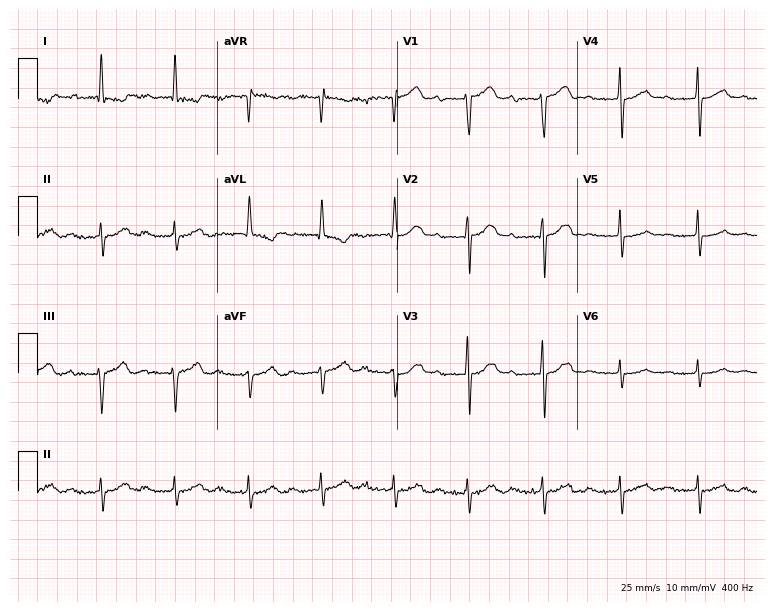
Standard 12-lead ECG recorded from a 70-year-old male (7.3-second recording at 400 Hz). None of these six findings is recorded: first-degree AV block, right bundle branch block, left bundle branch block, sinus bradycardia, atrial fibrillation, sinus tachycardia.